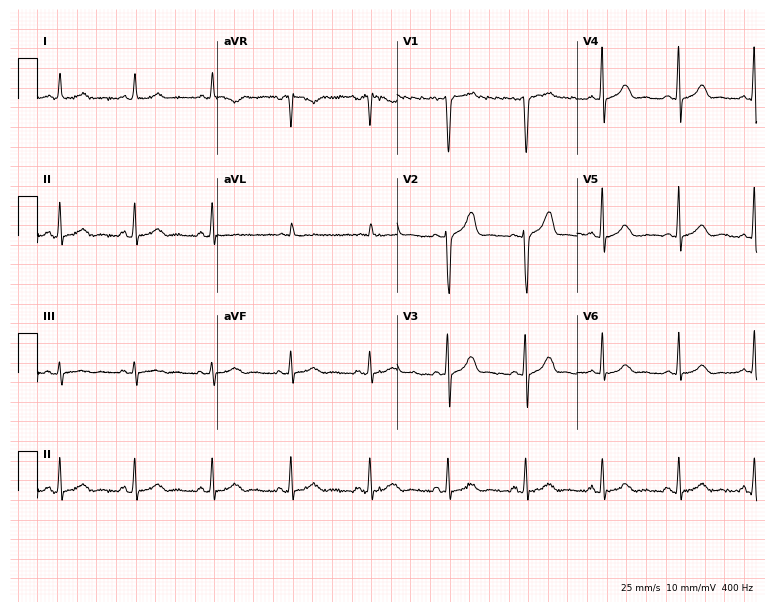
Electrocardiogram, a 34-year-old female. Of the six screened findings (first-degree AV block, right bundle branch block (RBBB), left bundle branch block (LBBB), sinus bradycardia, atrial fibrillation (AF), sinus tachycardia), none is recorded. Other findings, if any, are not listed.